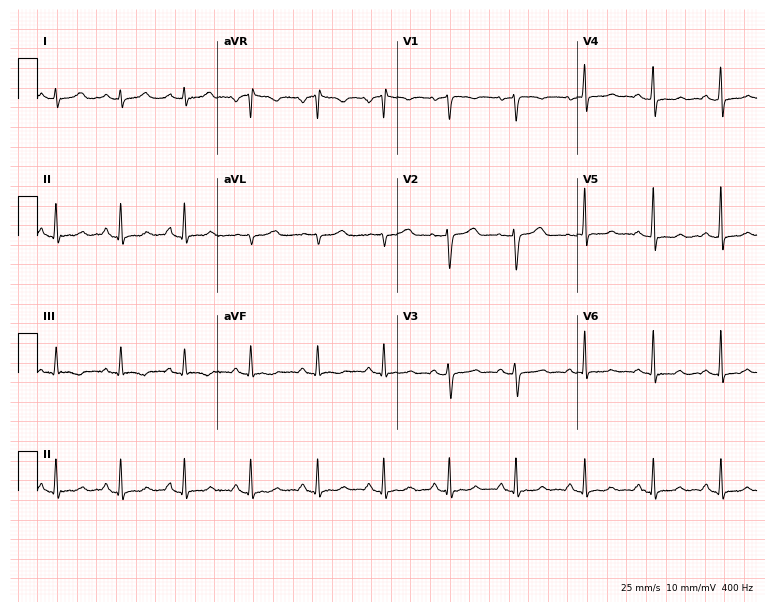
ECG (7.3-second recording at 400 Hz) — a female patient, 33 years old. Screened for six findings — first-degree AV block, right bundle branch block, left bundle branch block, sinus bradycardia, atrial fibrillation, sinus tachycardia — none is recorded. Findings outside these six are not listed.